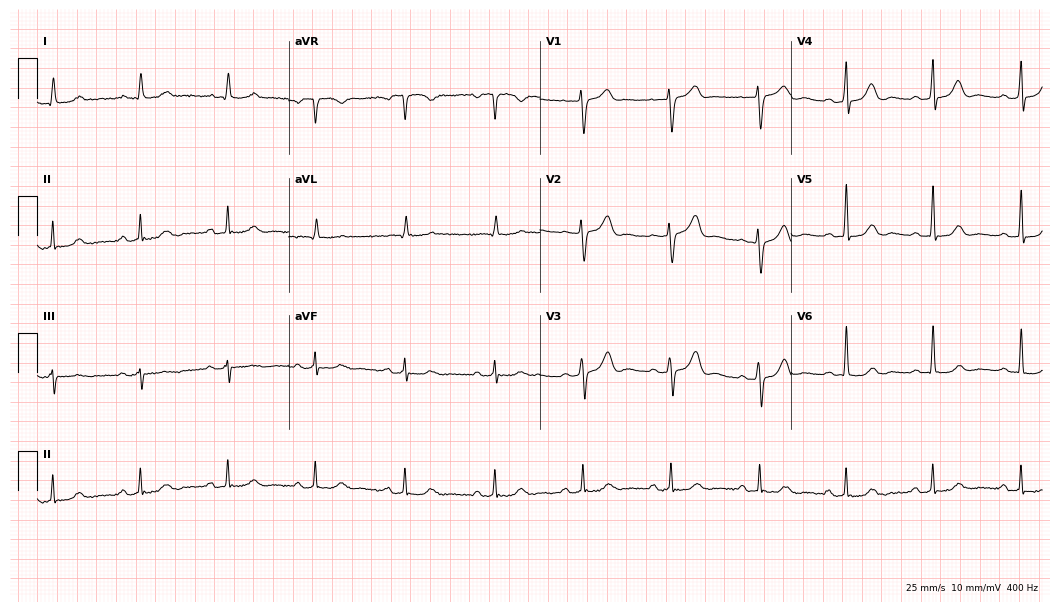
Resting 12-lead electrocardiogram (10.2-second recording at 400 Hz). Patient: a woman, 77 years old. Read as a normal ECG.